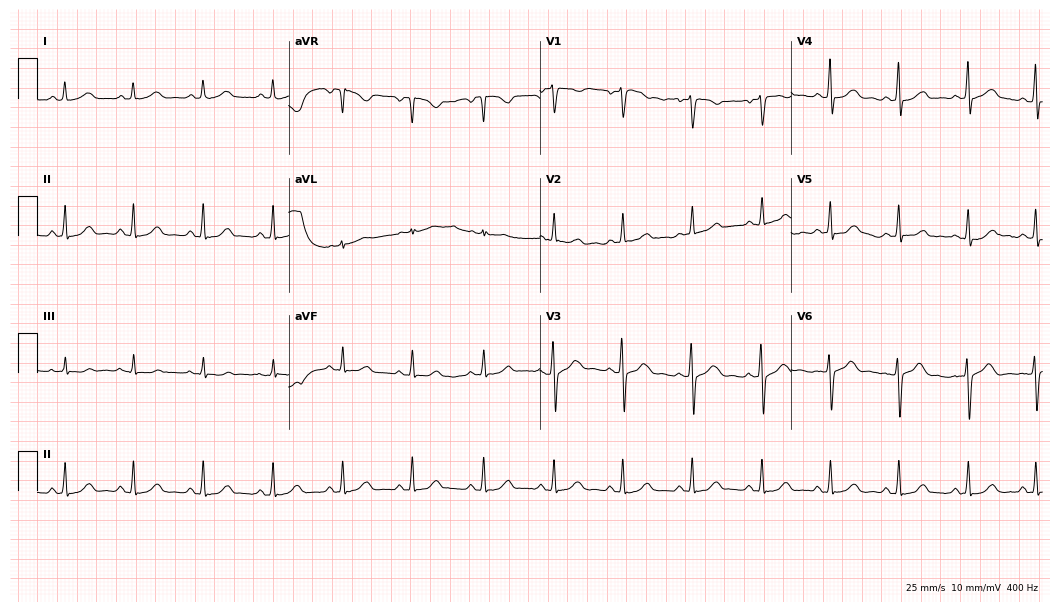
12-lead ECG (10.2-second recording at 400 Hz) from a 44-year-old female patient. Labelled as a normal ECG.